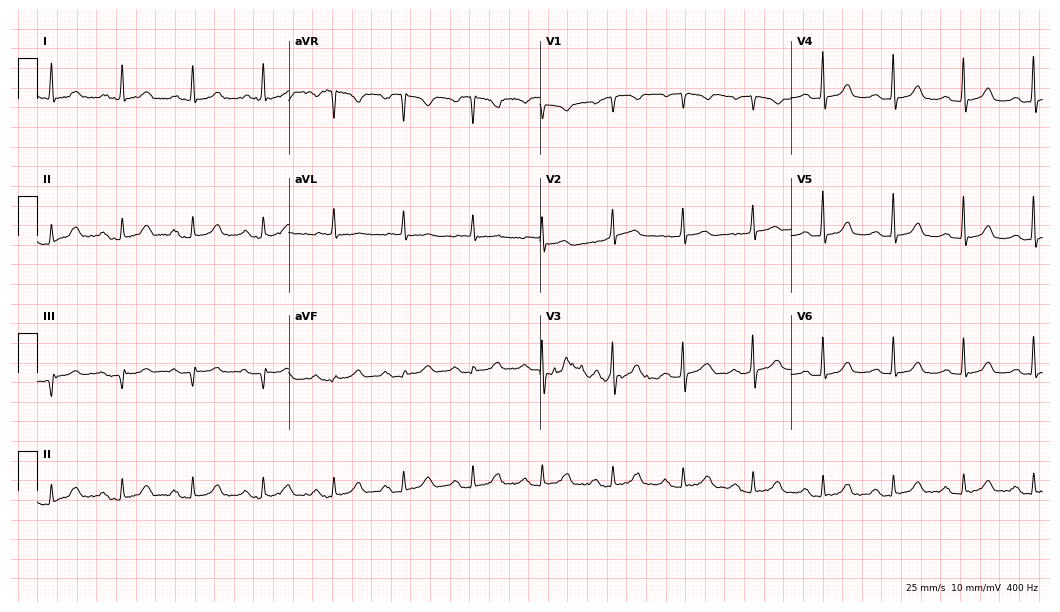
12-lead ECG from a female, 79 years old. Recorded interpretation: within normal limits.